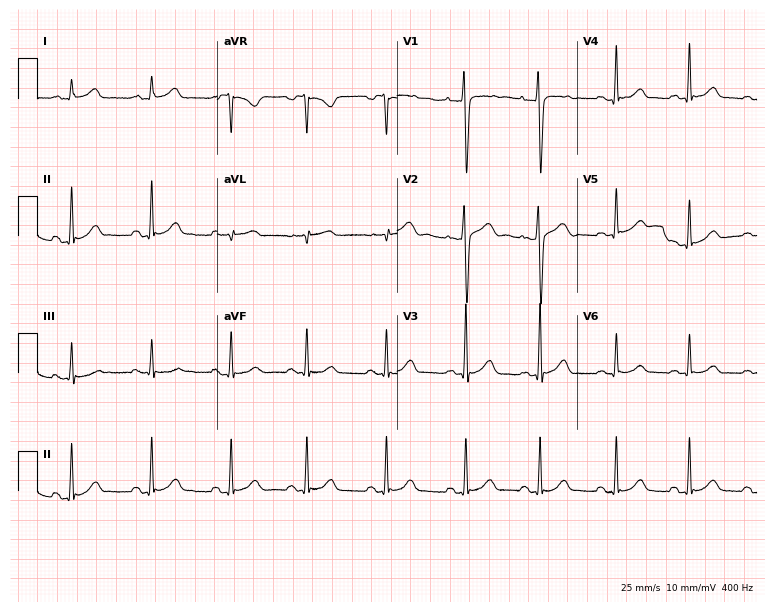
Resting 12-lead electrocardiogram. Patient: a 37-year-old female. Read as a normal ECG.